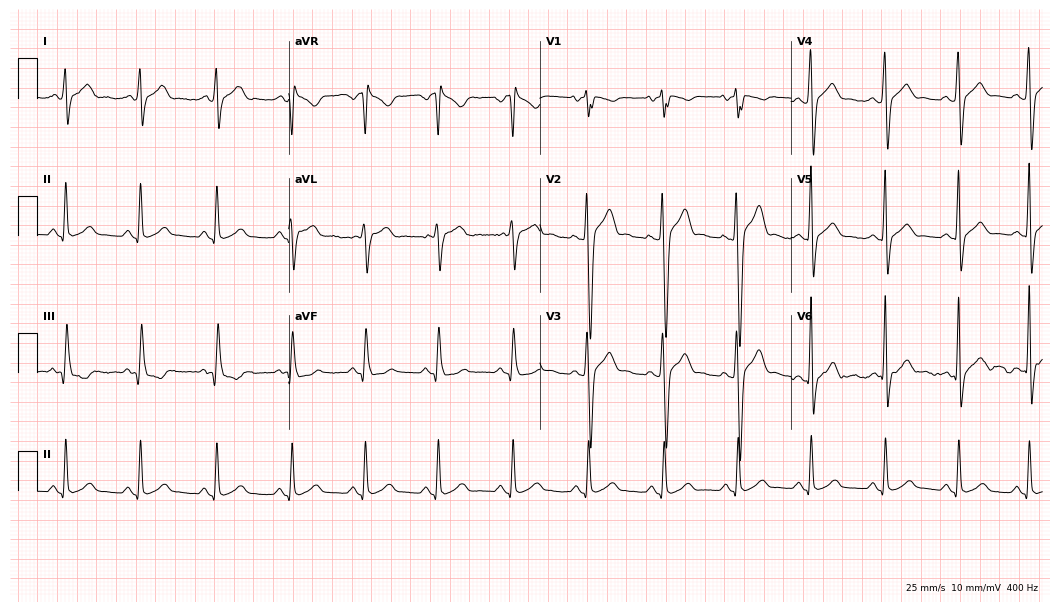
Standard 12-lead ECG recorded from a man, 32 years old. Read as a normal ECG.